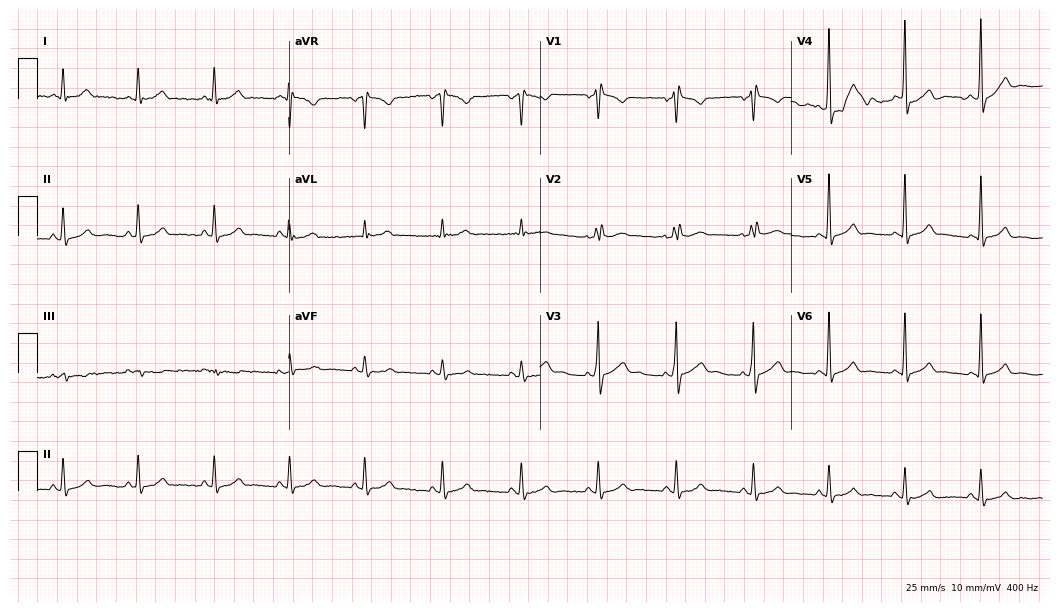
Resting 12-lead electrocardiogram (10.2-second recording at 400 Hz). Patient: a 22-year-old man. Read as a normal ECG.